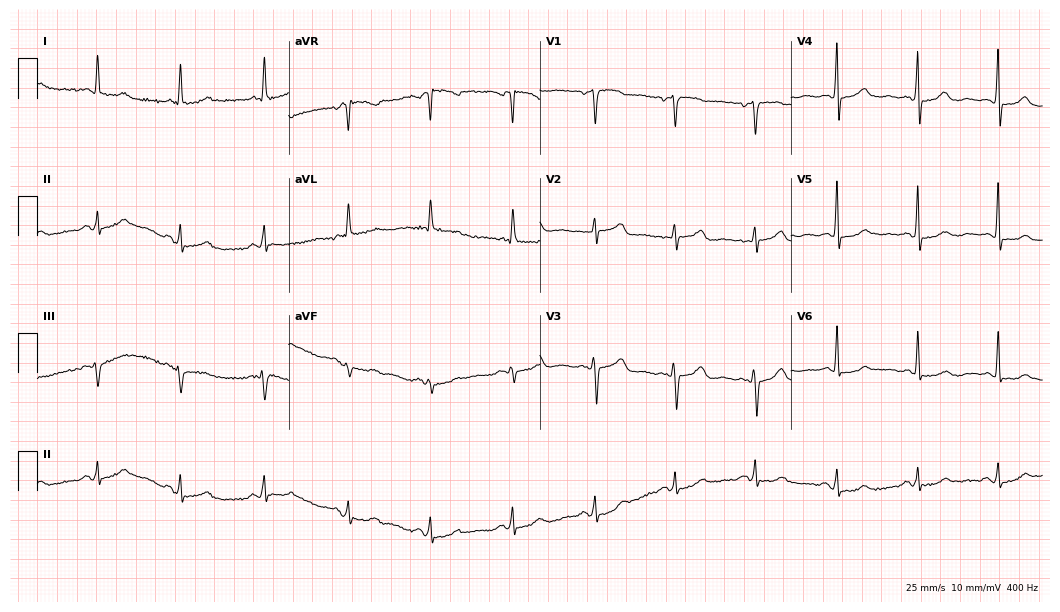
12-lead ECG (10.2-second recording at 400 Hz) from a woman, 72 years old. Labelled as a normal ECG.